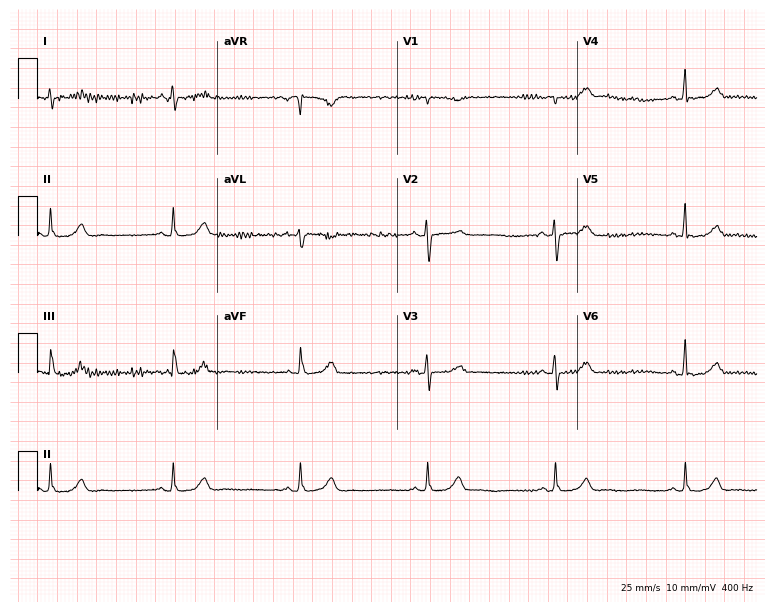
Resting 12-lead electrocardiogram (7.3-second recording at 400 Hz). Patient: a 50-year-old female. None of these six findings is recorded: first-degree AV block, right bundle branch block, left bundle branch block, sinus bradycardia, atrial fibrillation, sinus tachycardia.